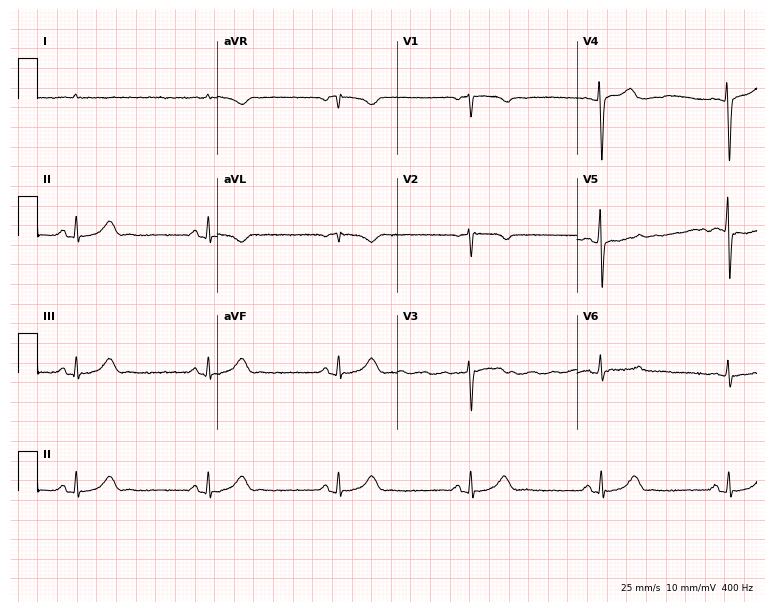
ECG — a male patient, 65 years old. Findings include sinus bradycardia (a sinus rate of 50 beats per minute or less).